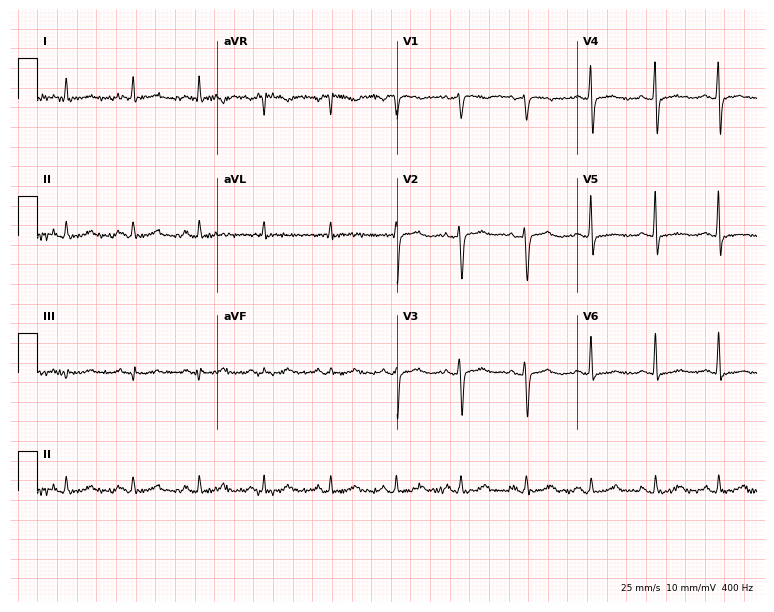
Standard 12-lead ECG recorded from a 52-year-old female. None of these six findings is recorded: first-degree AV block, right bundle branch block (RBBB), left bundle branch block (LBBB), sinus bradycardia, atrial fibrillation (AF), sinus tachycardia. Other findings, if any, are not listed.